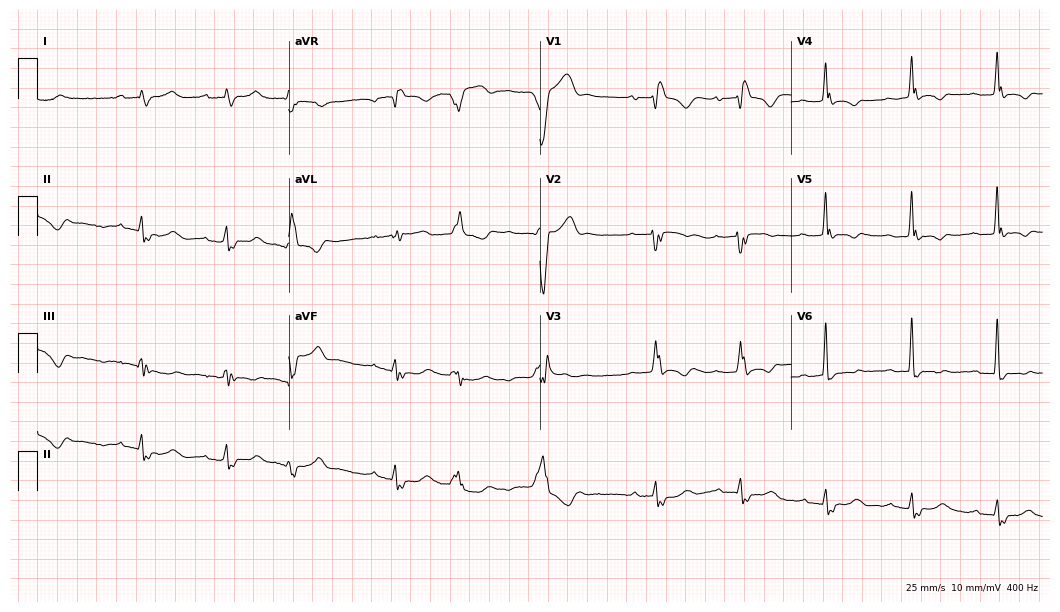
ECG (10.2-second recording at 400 Hz) — a woman, 62 years old. Findings include first-degree AV block, right bundle branch block.